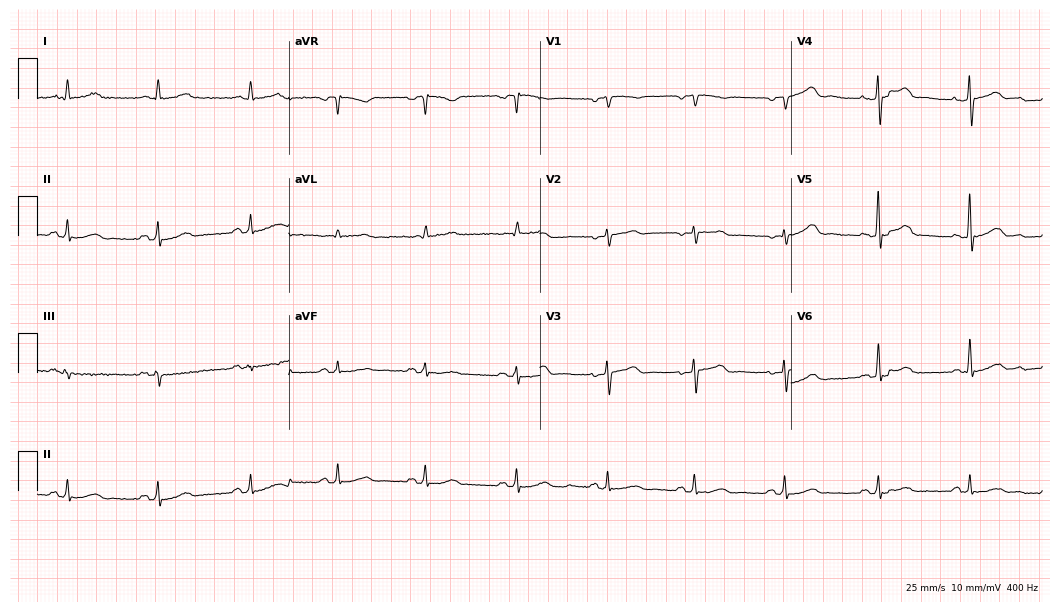
Resting 12-lead electrocardiogram. Patient: a 59-year-old woman. Read as a normal ECG.